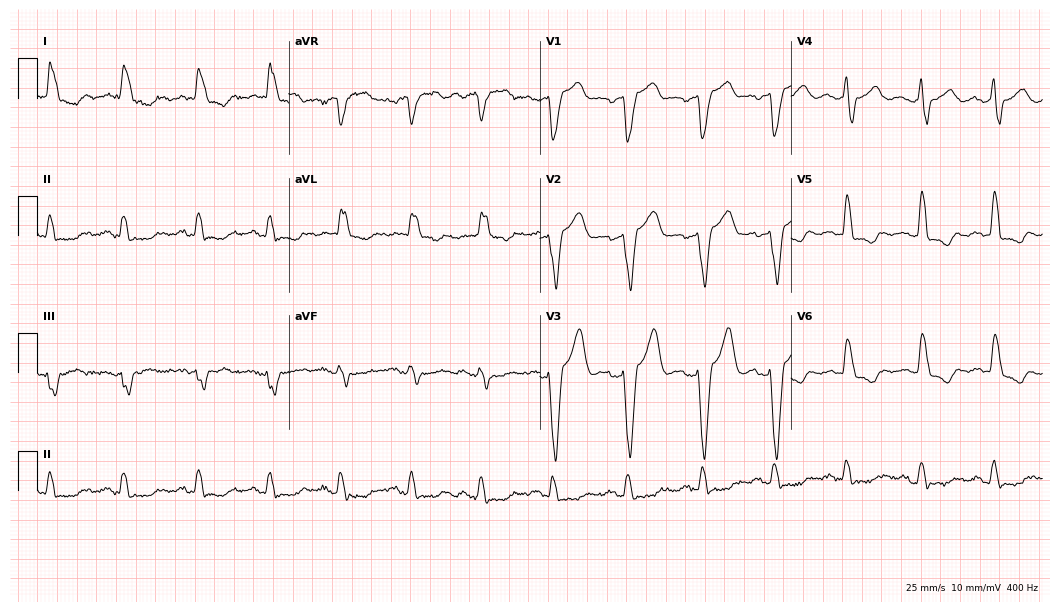
Resting 12-lead electrocardiogram (10.2-second recording at 400 Hz). Patient: a male, 75 years old. The tracing shows left bundle branch block.